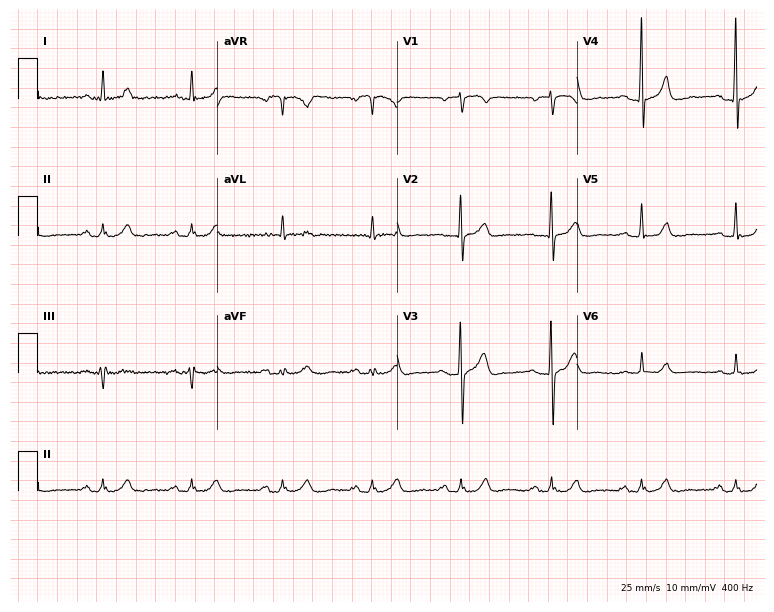
Resting 12-lead electrocardiogram. Patient: a male, 80 years old. Read as a normal ECG.